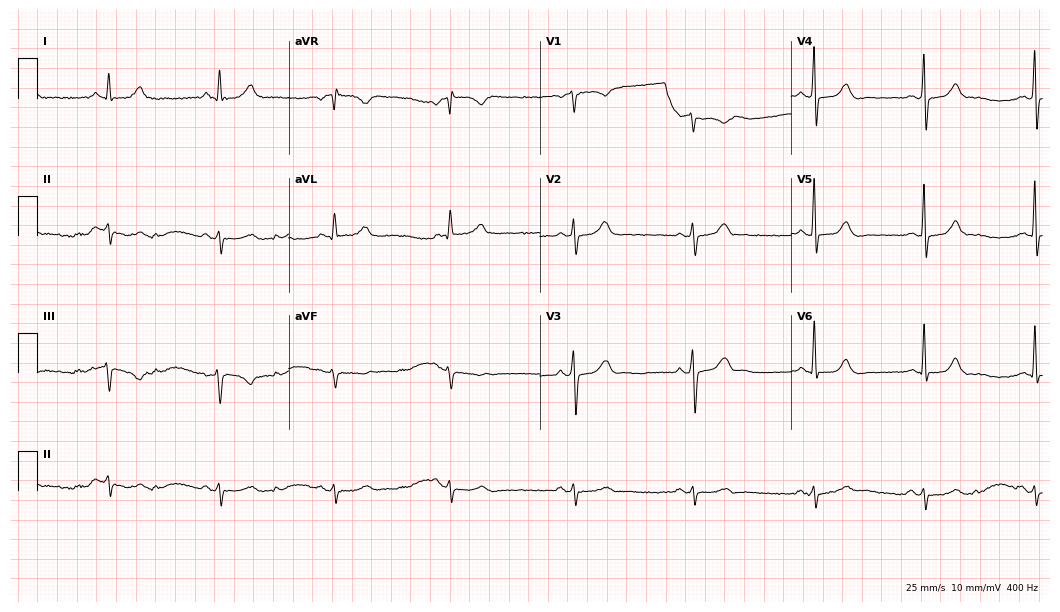
12-lead ECG from a 71-year-old male. Screened for six findings — first-degree AV block, right bundle branch block (RBBB), left bundle branch block (LBBB), sinus bradycardia, atrial fibrillation (AF), sinus tachycardia — none is recorded.